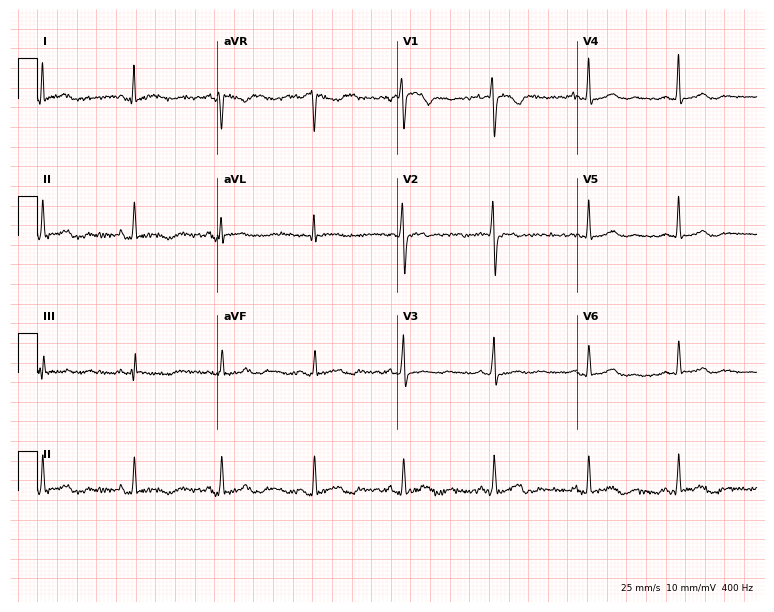
Electrocardiogram, a female, 38 years old. Of the six screened findings (first-degree AV block, right bundle branch block, left bundle branch block, sinus bradycardia, atrial fibrillation, sinus tachycardia), none is recorded. Findings outside these six are not listed.